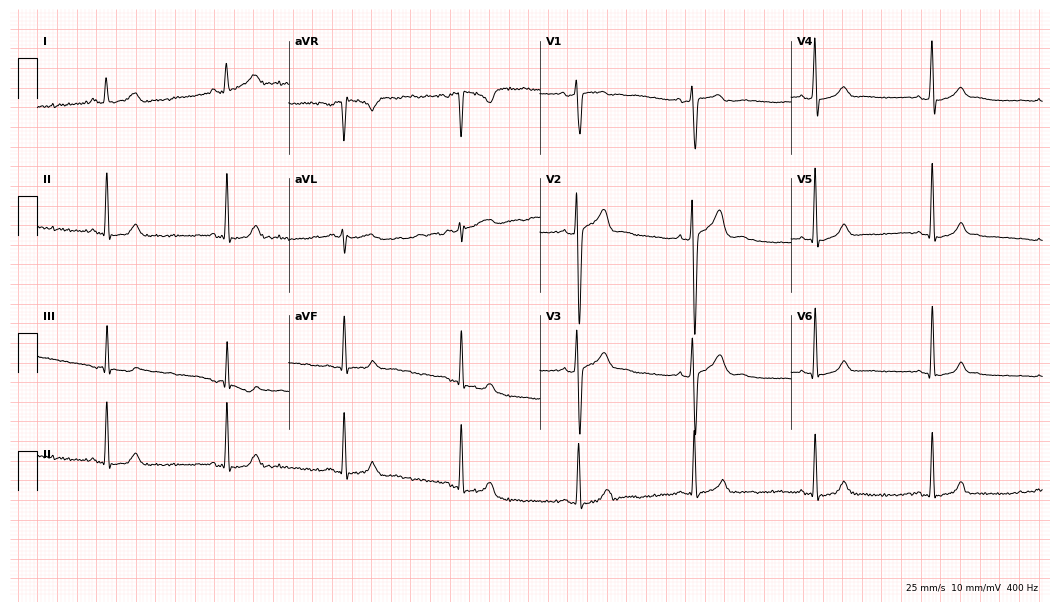
12-lead ECG from a female patient, 24 years old. Findings include sinus bradycardia (a sinus rate of 50 beats per minute or less).